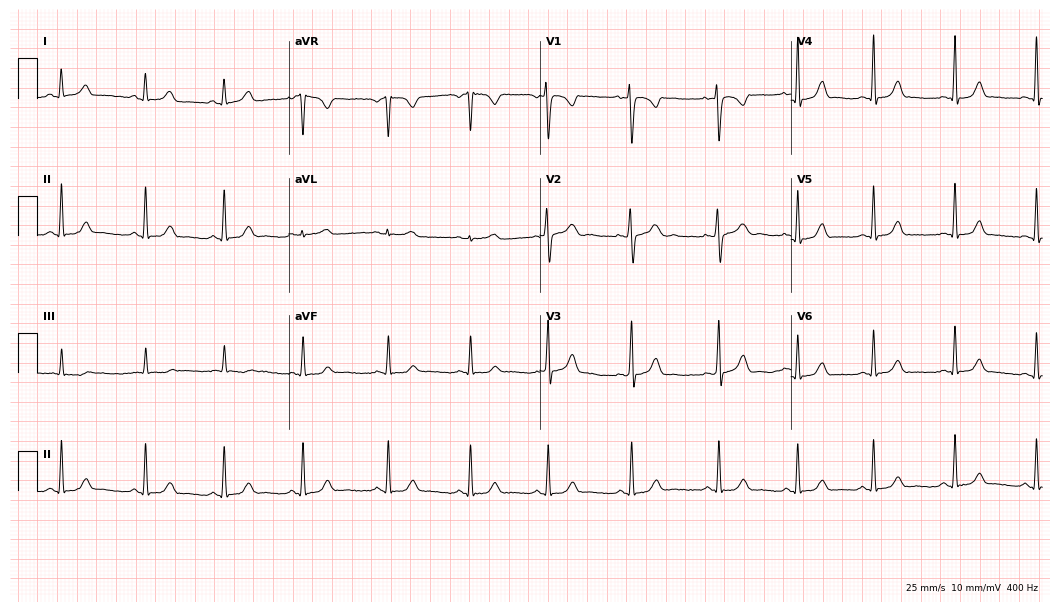
12-lead ECG (10.2-second recording at 400 Hz) from a 24-year-old woman. Labelled as a normal ECG.